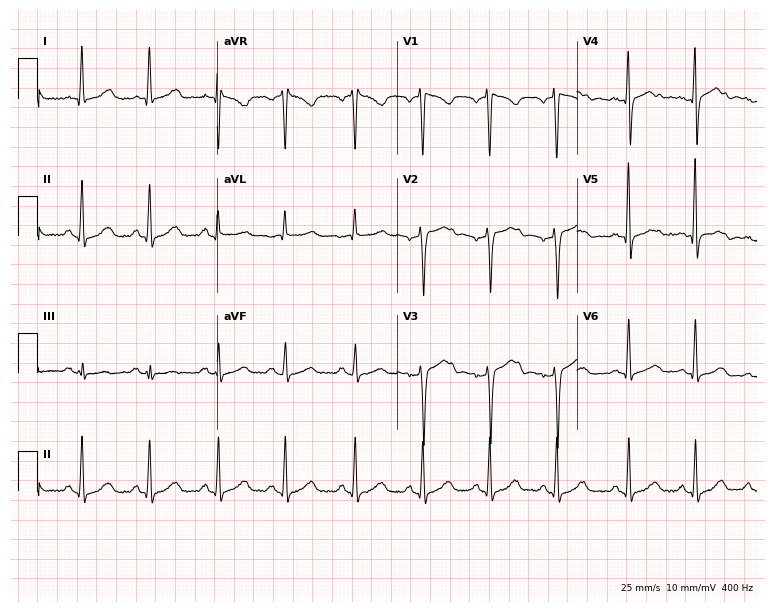
Standard 12-lead ECG recorded from a female, 37 years old (7.3-second recording at 400 Hz). Read as a normal ECG.